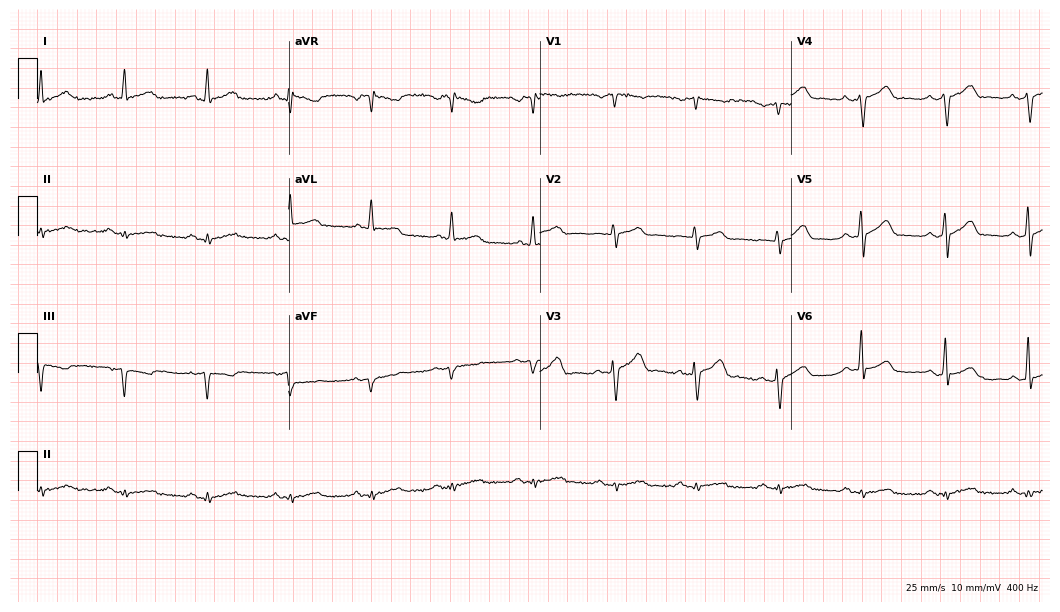
12-lead ECG (10.2-second recording at 400 Hz) from a man, 62 years old. Labelled as a normal ECG.